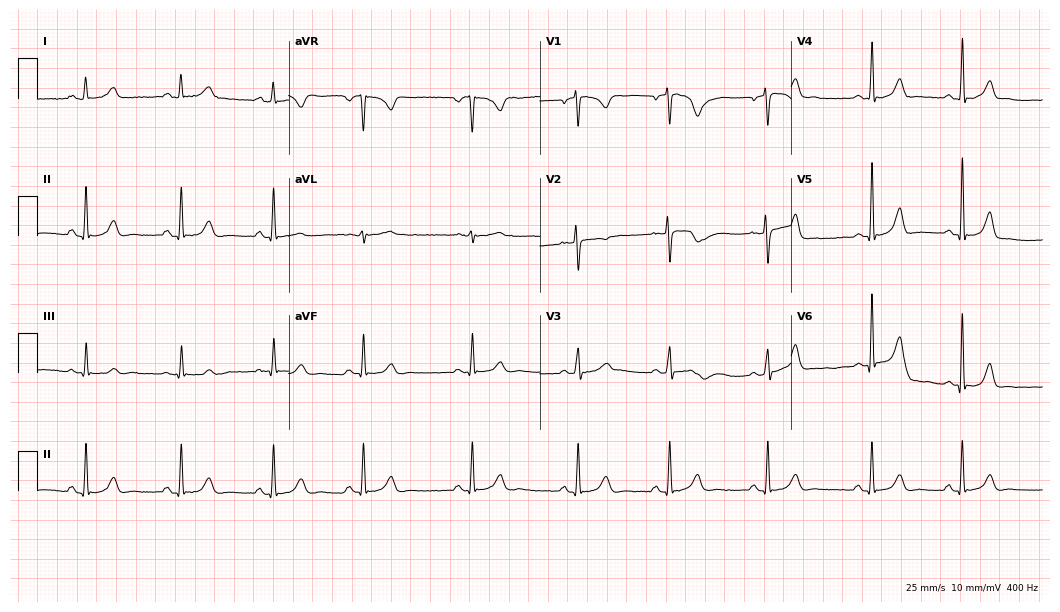
ECG — a female, 19 years old. Labelled as a normal ECG.